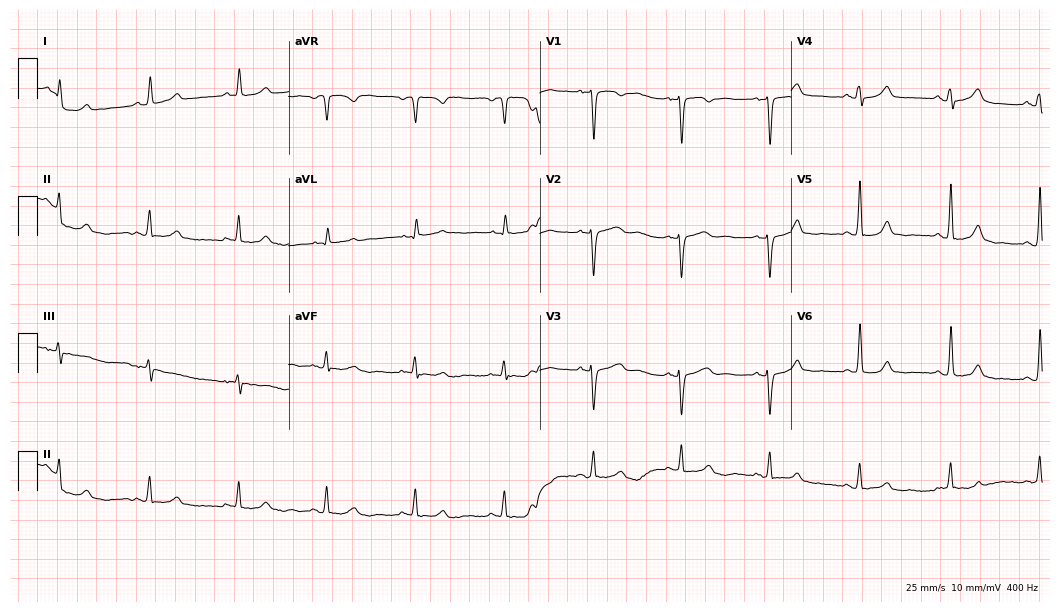
ECG (10.2-second recording at 400 Hz) — a female, 66 years old. Labelled as a normal ECG.